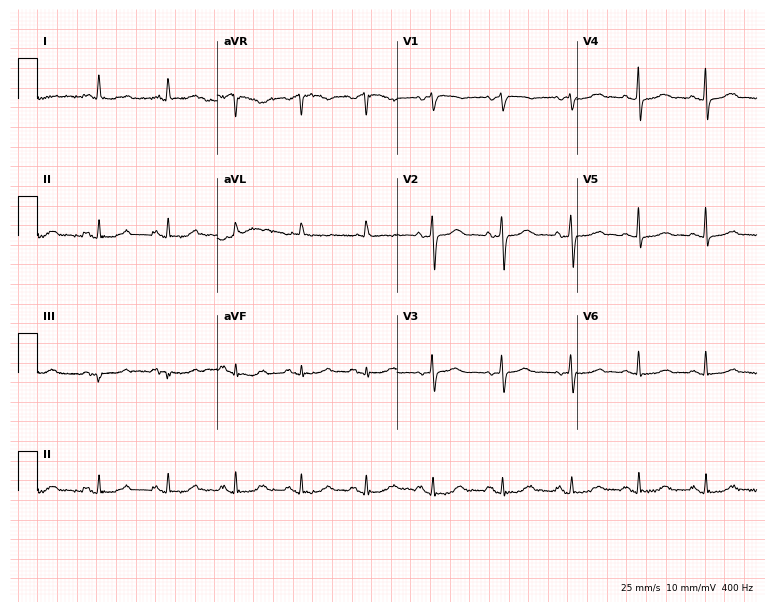
Standard 12-lead ECG recorded from a 56-year-old woman (7.3-second recording at 400 Hz). None of these six findings is recorded: first-degree AV block, right bundle branch block, left bundle branch block, sinus bradycardia, atrial fibrillation, sinus tachycardia. Only these six findings were labelled.